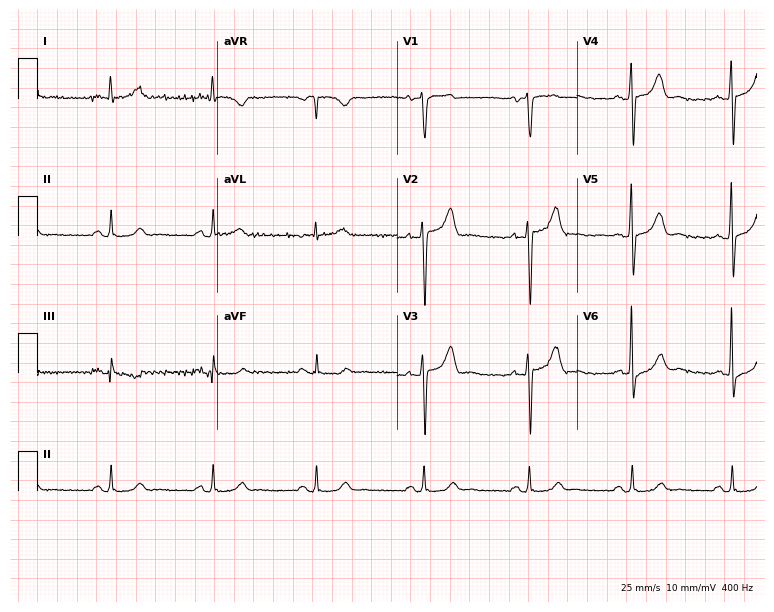
Standard 12-lead ECG recorded from a male patient, 63 years old. None of these six findings is recorded: first-degree AV block, right bundle branch block, left bundle branch block, sinus bradycardia, atrial fibrillation, sinus tachycardia. Other findings, if any, are not listed.